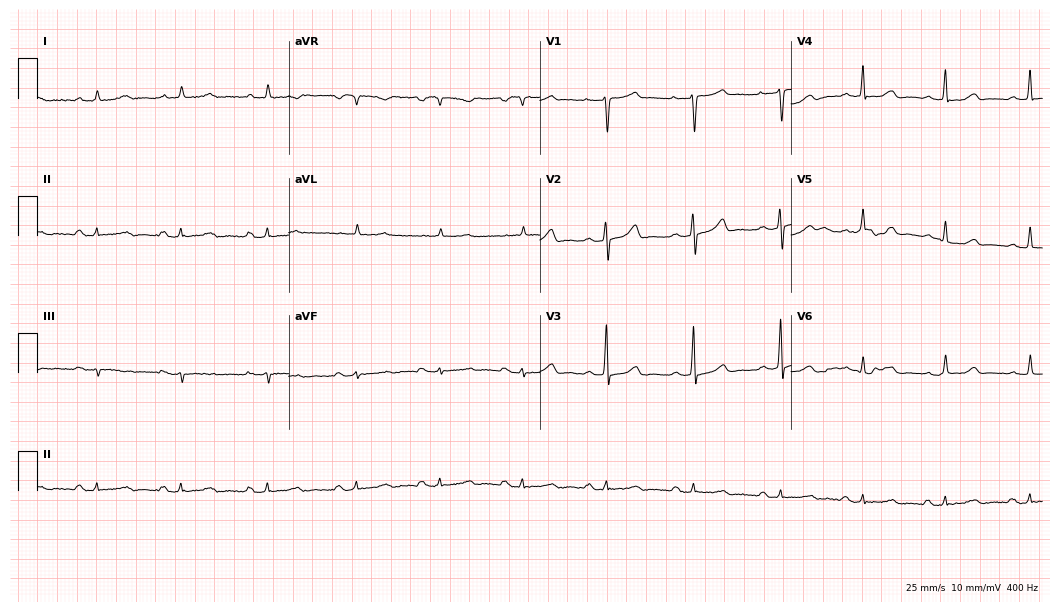
ECG (10.2-second recording at 400 Hz) — a 43-year-old woman. Screened for six findings — first-degree AV block, right bundle branch block, left bundle branch block, sinus bradycardia, atrial fibrillation, sinus tachycardia — none is recorded. Only these six findings were labelled.